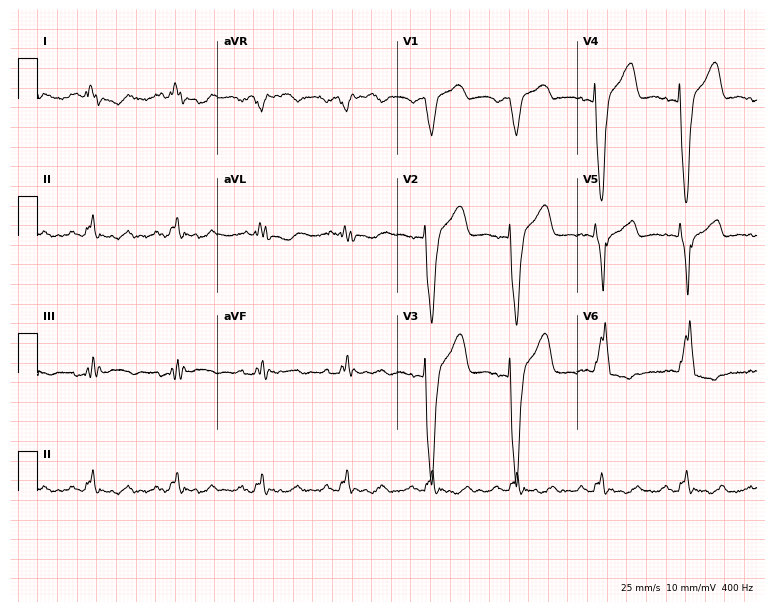
Resting 12-lead electrocardiogram (7.3-second recording at 400 Hz). Patient: a male, 73 years old. None of these six findings is recorded: first-degree AV block, right bundle branch block (RBBB), left bundle branch block (LBBB), sinus bradycardia, atrial fibrillation (AF), sinus tachycardia.